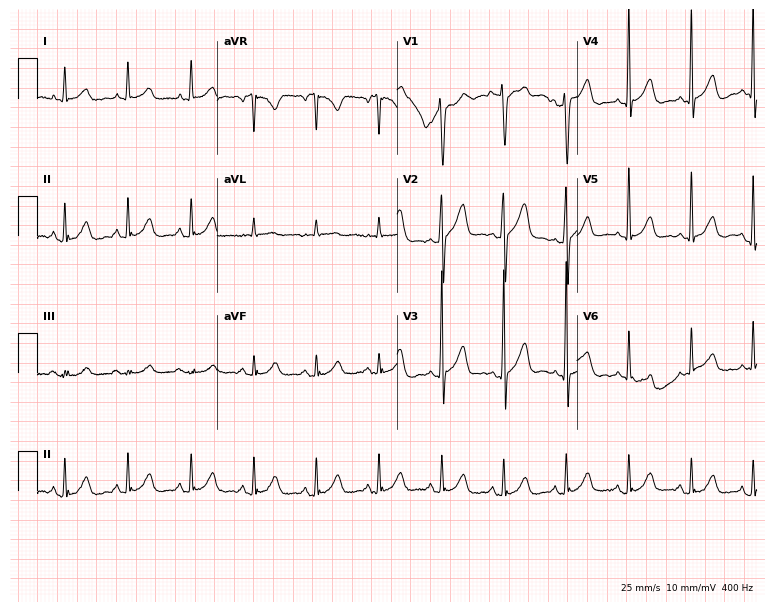
Standard 12-lead ECG recorded from a 69-year-old man (7.3-second recording at 400 Hz). None of these six findings is recorded: first-degree AV block, right bundle branch block (RBBB), left bundle branch block (LBBB), sinus bradycardia, atrial fibrillation (AF), sinus tachycardia. Only these six findings were labelled.